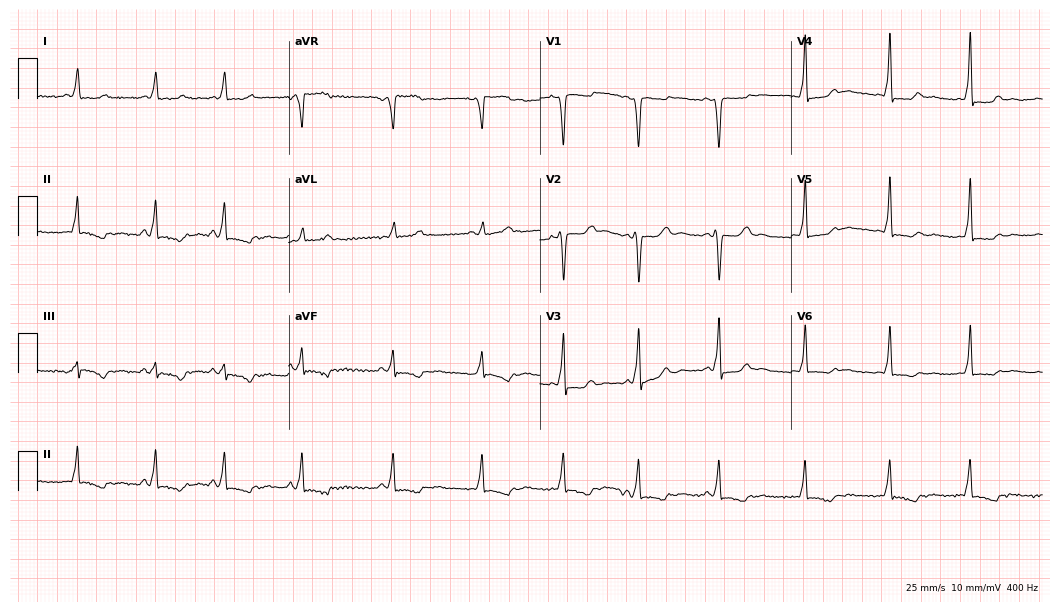
12-lead ECG from a 27-year-old female patient. Screened for six findings — first-degree AV block, right bundle branch block, left bundle branch block, sinus bradycardia, atrial fibrillation, sinus tachycardia — none is recorded. Findings outside these six are not listed.